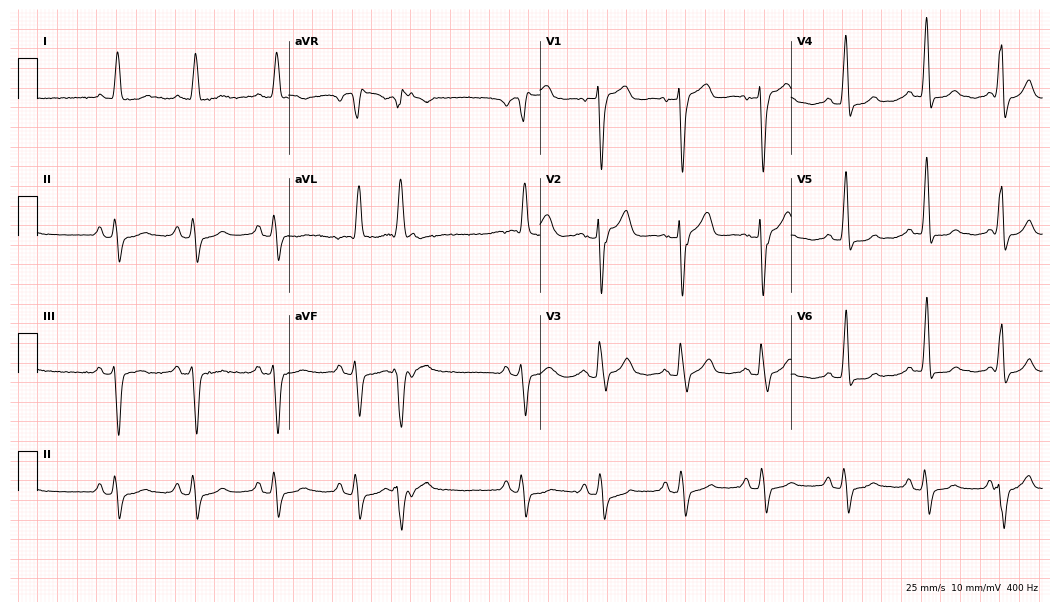
12-lead ECG from a woman, 64 years old. Shows left bundle branch block.